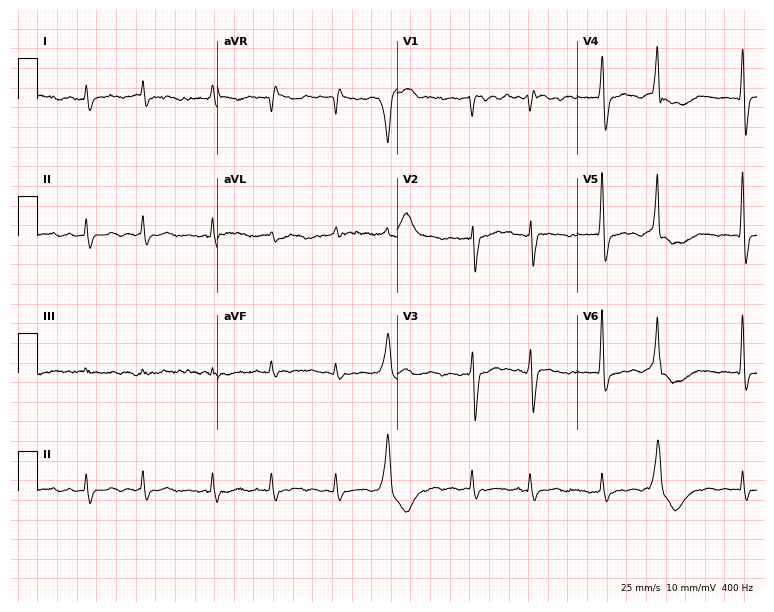
12-lead ECG from a man, 79 years old (7.3-second recording at 400 Hz). Shows atrial fibrillation (AF).